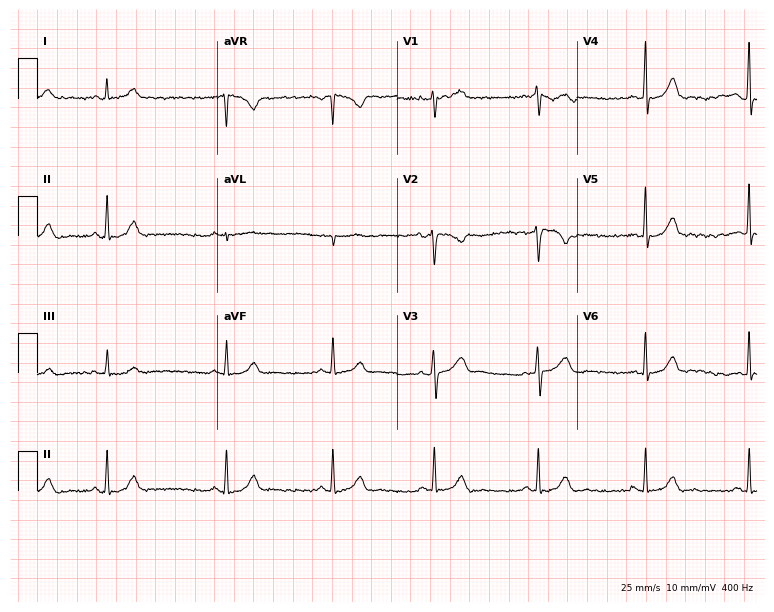
12-lead ECG from a 36-year-old woman. Labelled as a normal ECG.